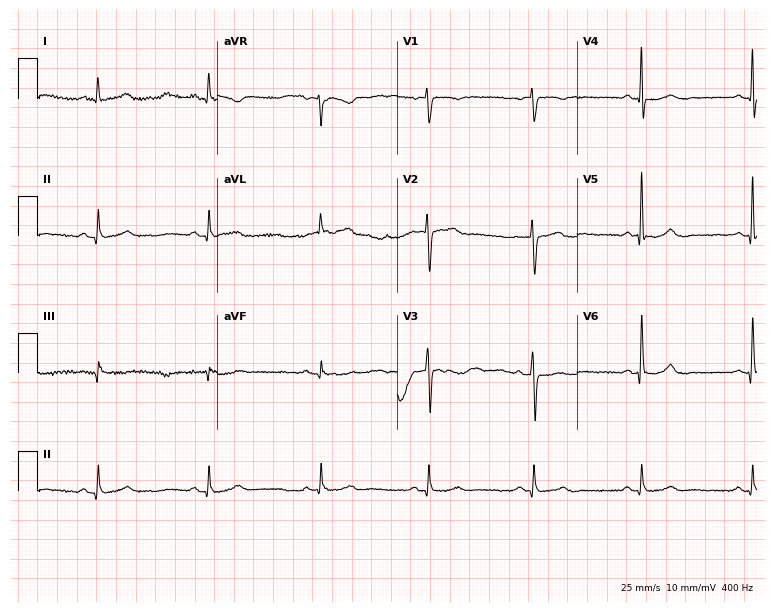
12-lead ECG (7.3-second recording at 400 Hz) from a 55-year-old male. Screened for six findings — first-degree AV block, right bundle branch block, left bundle branch block, sinus bradycardia, atrial fibrillation, sinus tachycardia — none is recorded.